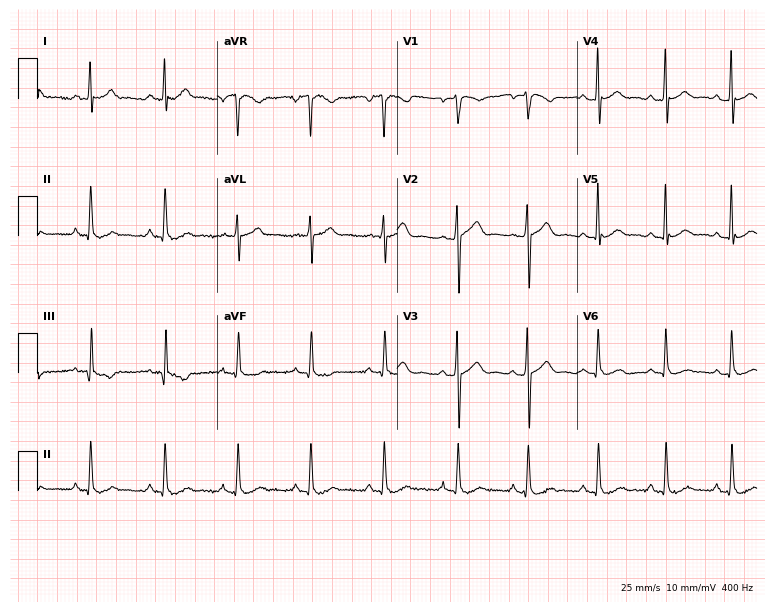
Standard 12-lead ECG recorded from a male patient, 39 years old. Read as a normal ECG.